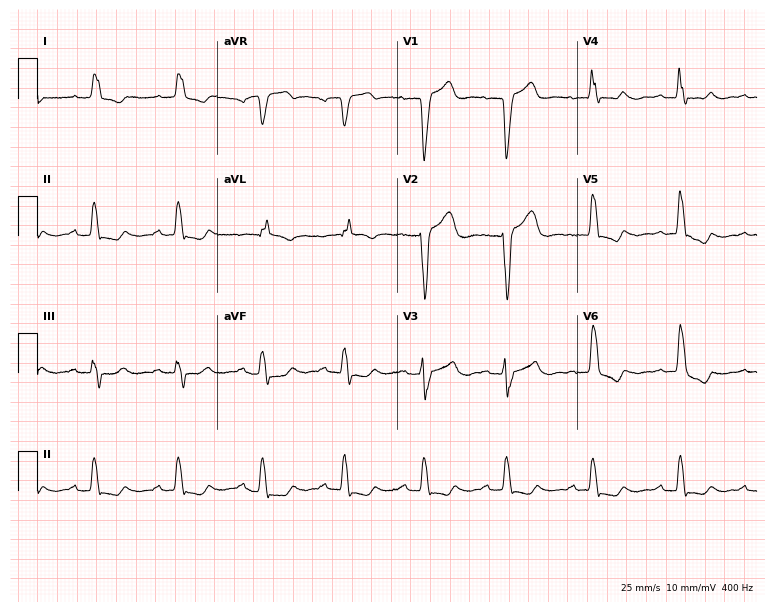
12-lead ECG from a 71-year-old female patient (7.3-second recording at 400 Hz). Shows left bundle branch block.